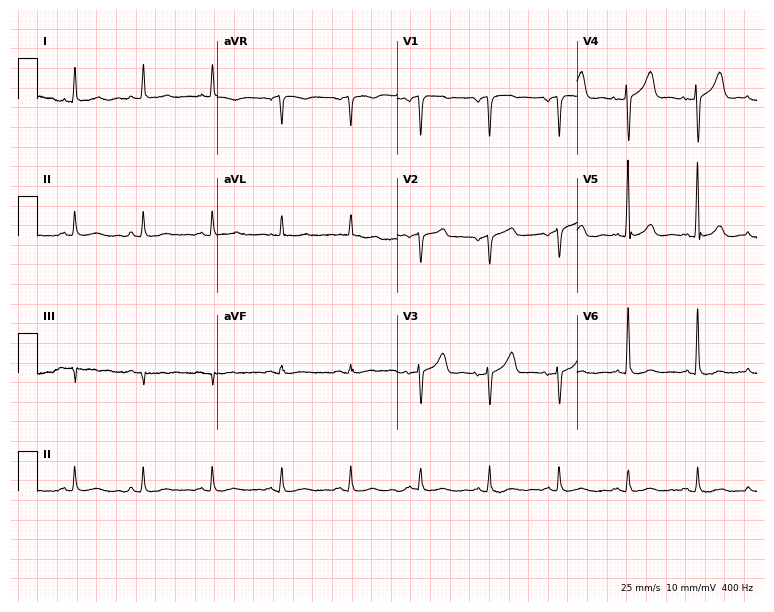
12-lead ECG from a male, 79 years old. Labelled as a normal ECG.